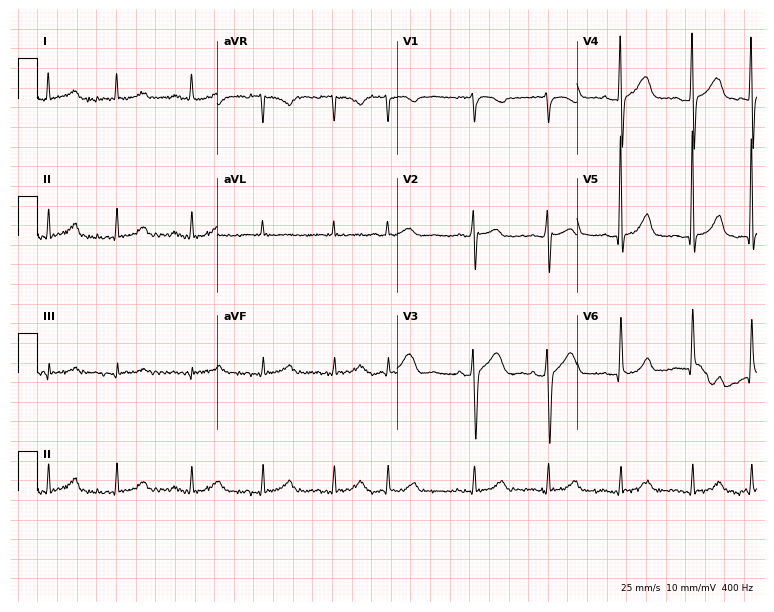
Electrocardiogram (7.3-second recording at 400 Hz), a male patient, 84 years old. Interpretation includes atrial fibrillation (AF).